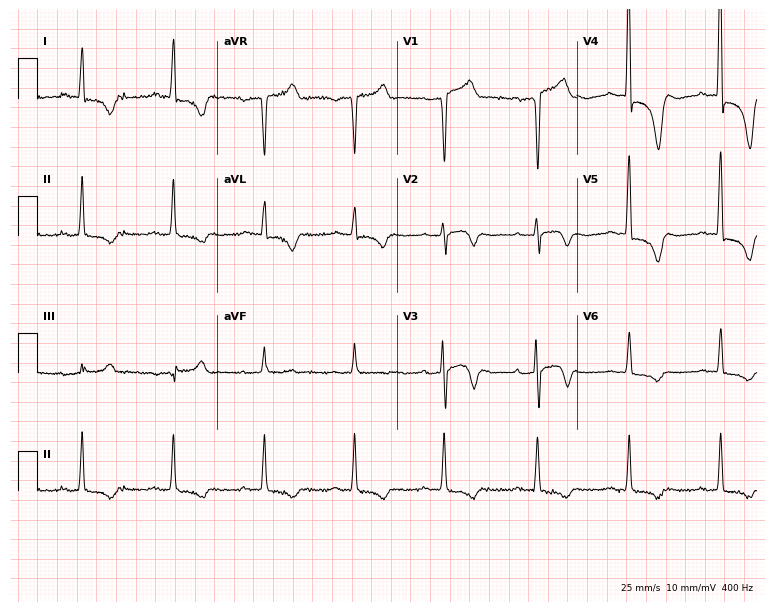
12-lead ECG from a male patient, 61 years old. Screened for six findings — first-degree AV block, right bundle branch block (RBBB), left bundle branch block (LBBB), sinus bradycardia, atrial fibrillation (AF), sinus tachycardia — none is recorded.